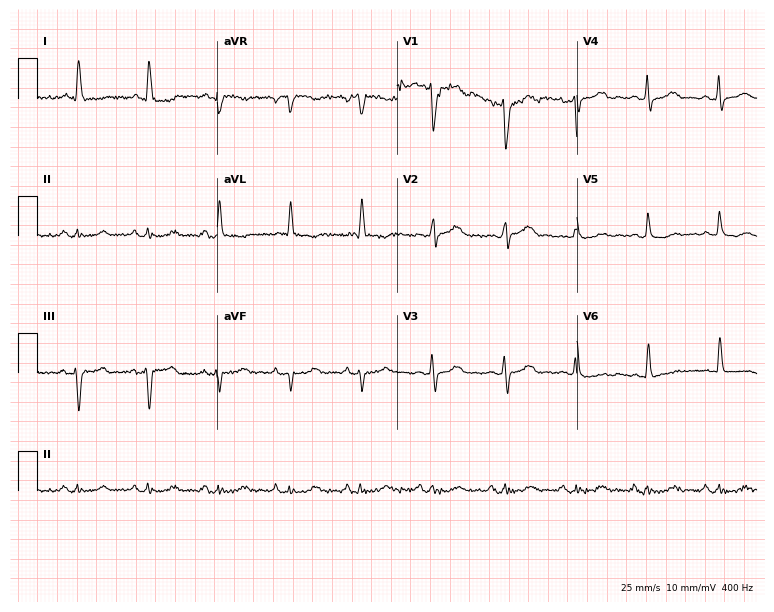
Resting 12-lead electrocardiogram. Patient: a 78-year-old male. Read as a normal ECG.